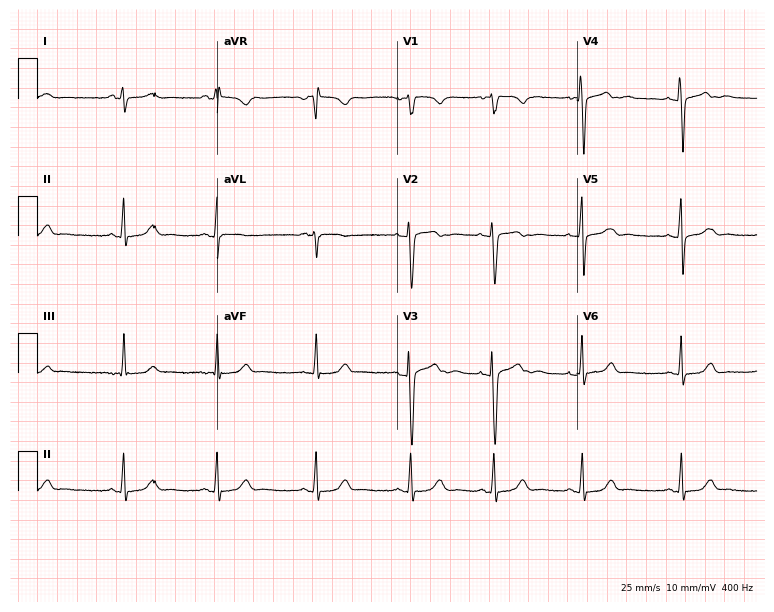
Electrocardiogram, an 18-year-old female patient. Of the six screened findings (first-degree AV block, right bundle branch block, left bundle branch block, sinus bradycardia, atrial fibrillation, sinus tachycardia), none is recorded.